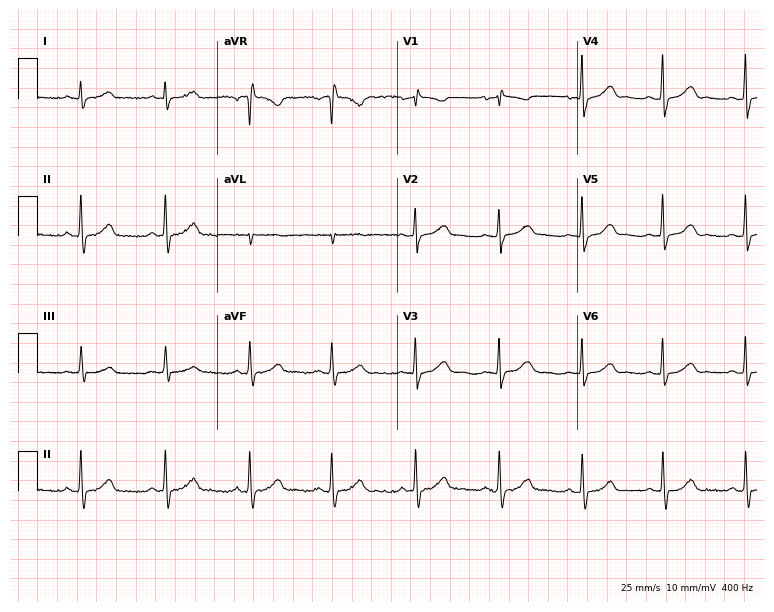
12-lead ECG from a 59-year-old woman. Labelled as a normal ECG.